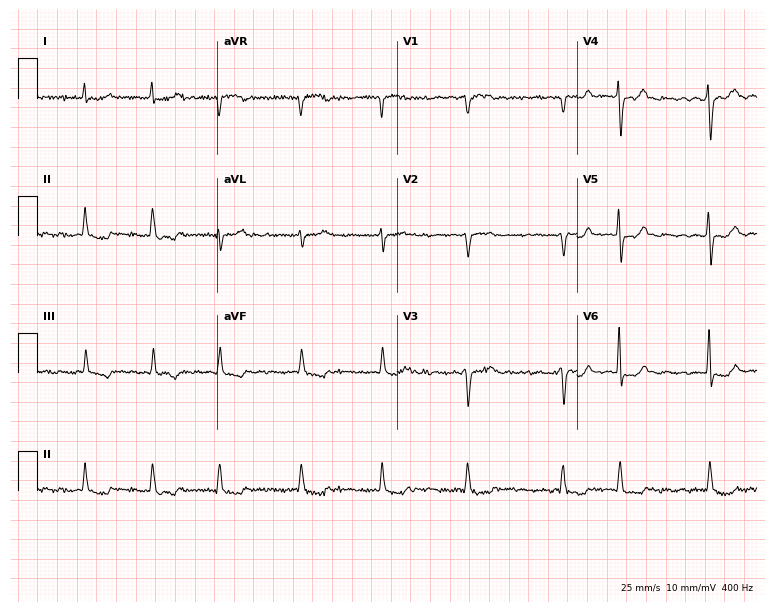
ECG (7.3-second recording at 400 Hz) — a 68-year-old male patient. Findings include atrial fibrillation.